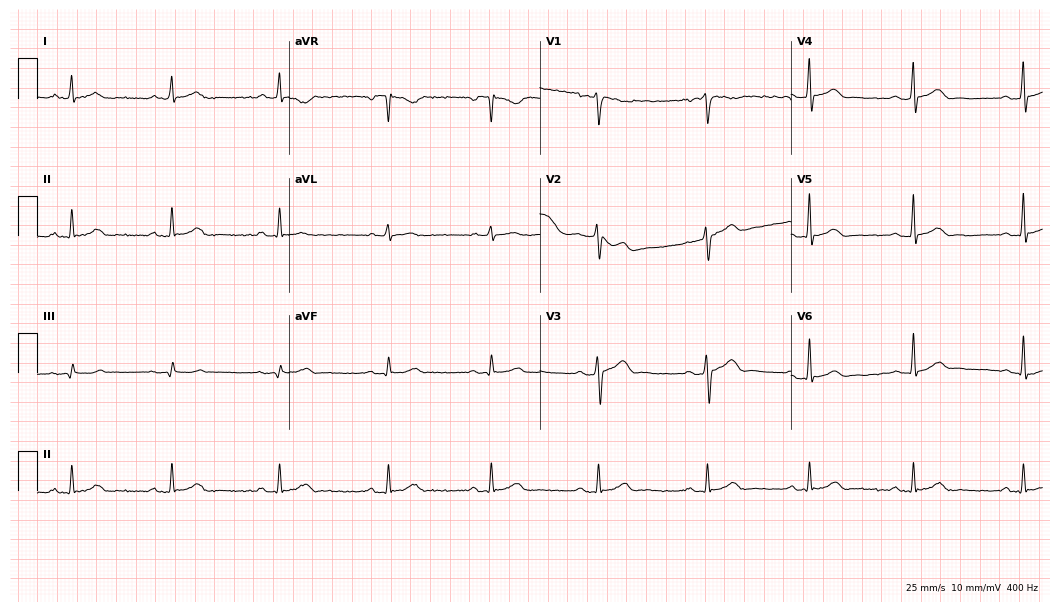
12-lead ECG from a man, 31 years old (10.2-second recording at 400 Hz). Recorded interpretation: within normal limits.